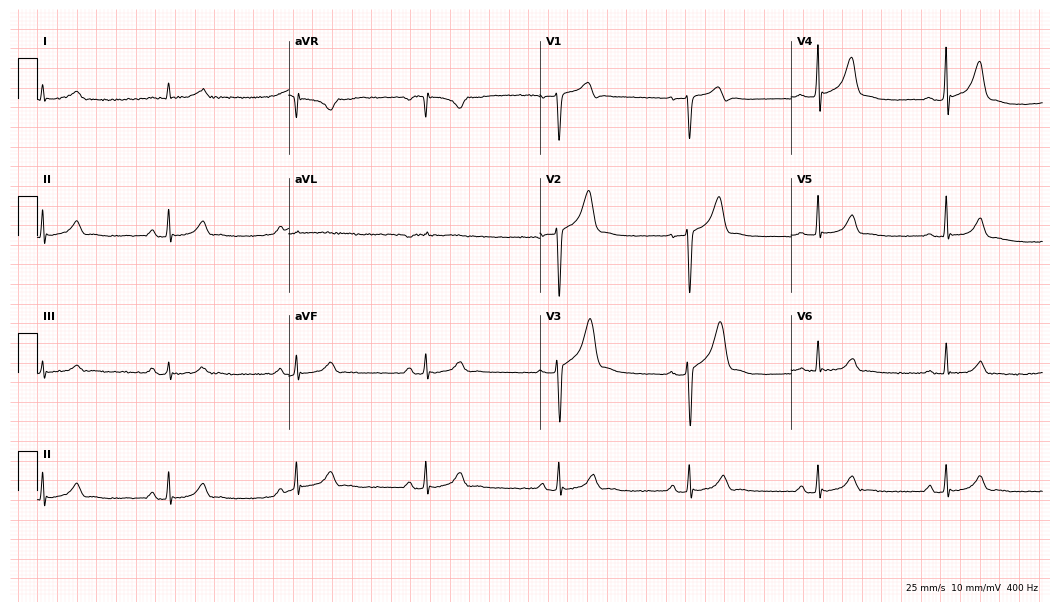
ECG (10.2-second recording at 400 Hz) — a man, 59 years old. Findings include sinus bradycardia (a sinus rate of 50 beats per minute or less).